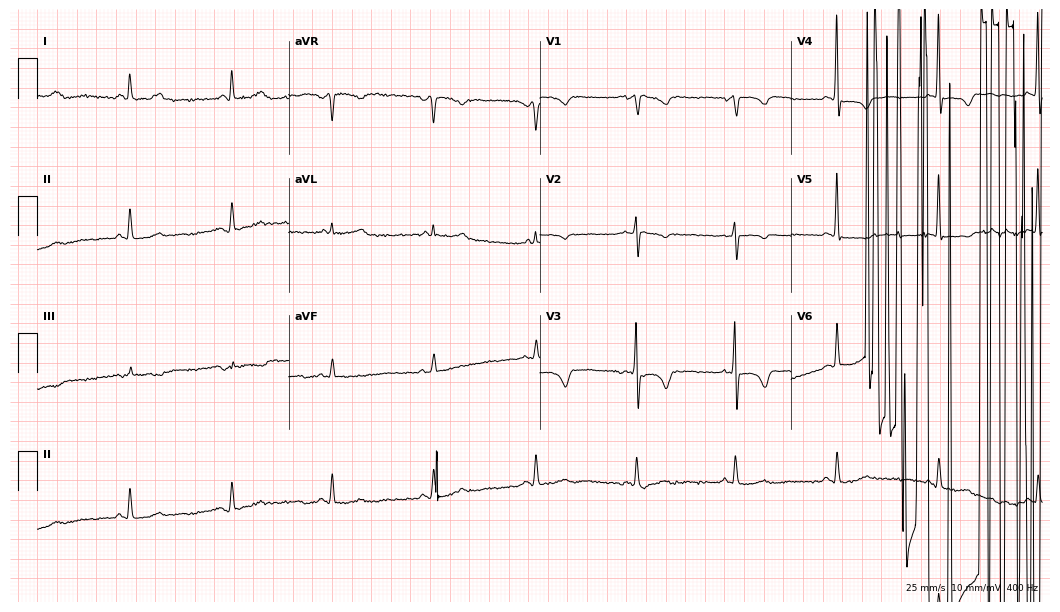
Electrocardiogram (10.2-second recording at 400 Hz), a 75-year-old female. Of the six screened findings (first-degree AV block, right bundle branch block (RBBB), left bundle branch block (LBBB), sinus bradycardia, atrial fibrillation (AF), sinus tachycardia), none is recorded. Only these six findings were labelled.